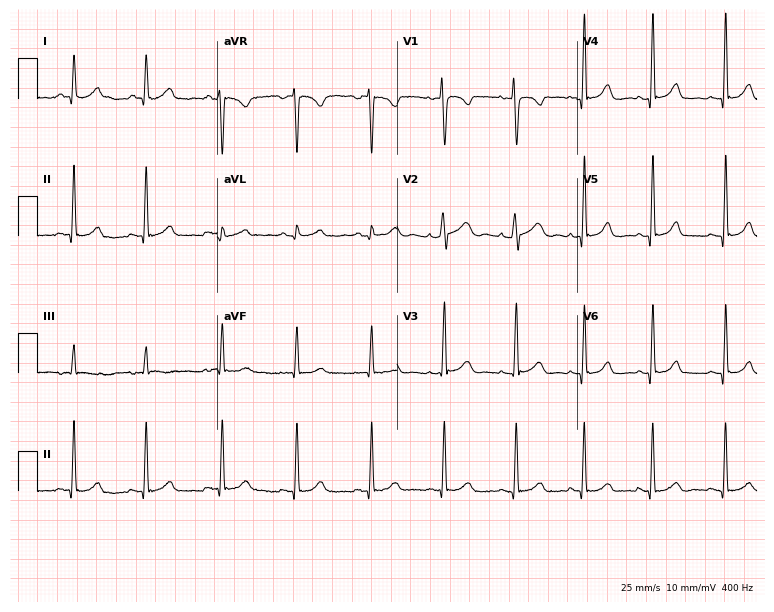
Standard 12-lead ECG recorded from a woman, 27 years old. None of these six findings is recorded: first-degree AV block, right bundle branch block (RBBB), left bundle branch block (LBBB), sinus bradycardia, atrial fibrillation (AF), sinus tachycardia.